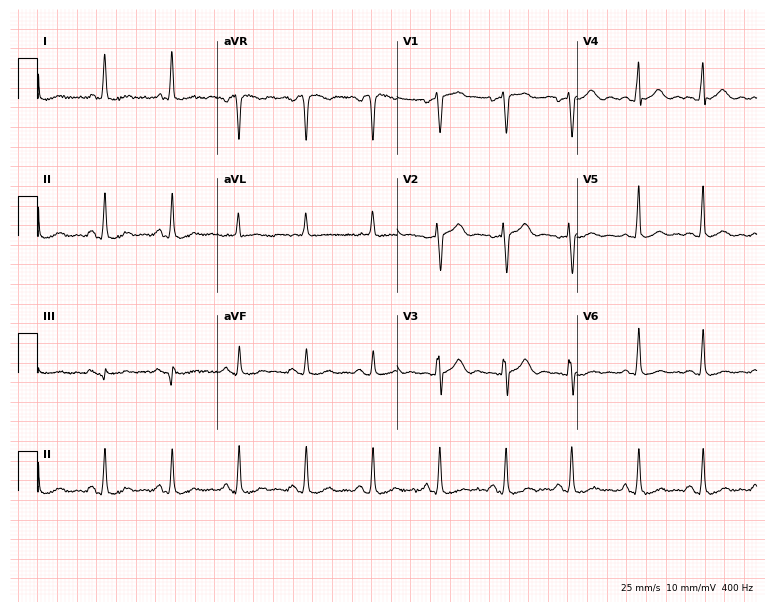
12-lead ECG from a 67-year-old female (7.3-second recording at 400 Hz). No first-degree AV block, right bundle branch block, left bundle branch block, sinus bradycardia, atrial fibrillation or sinus tachycardia recorded for this tracing.